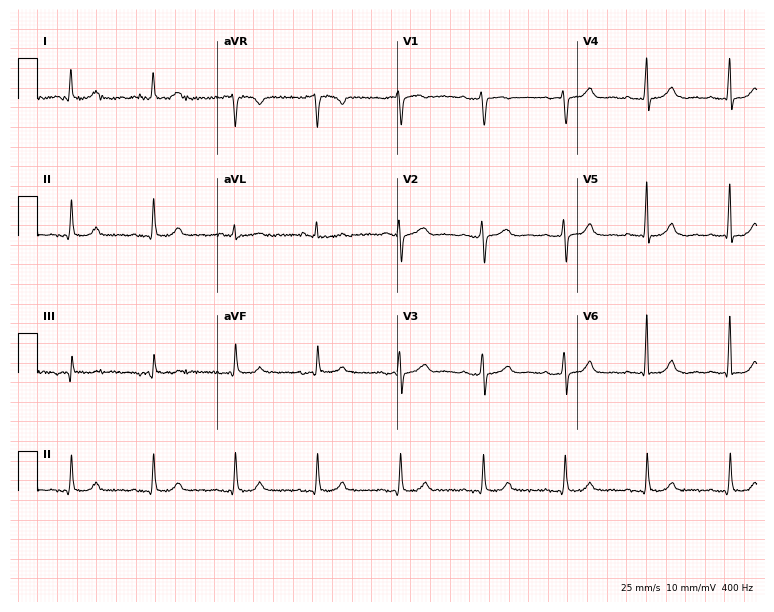
12-lead ECG from a woman, 85 years old (7.3-second recording at 400 Hz). Recorded interpretation: within normal limits.